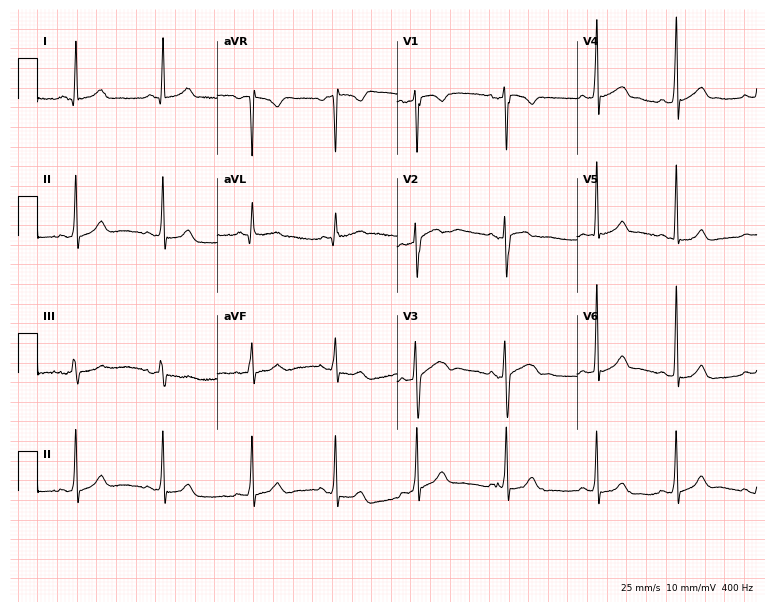
12-lead ECG from a 24-year-old man. Recorded interpretation: within normal limits.